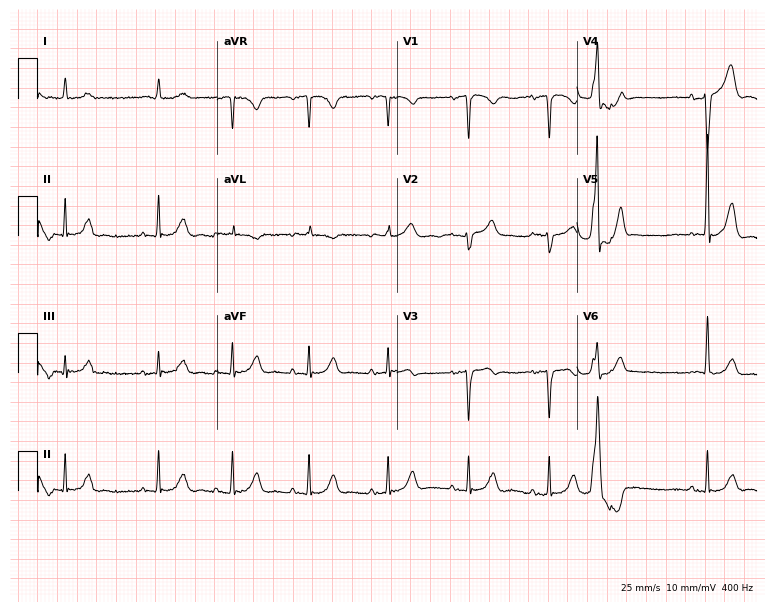
12-lead ECG from a male, 82 years old (7.3-second recording at 400 Hz). Recorded interpretation: within normal limits.